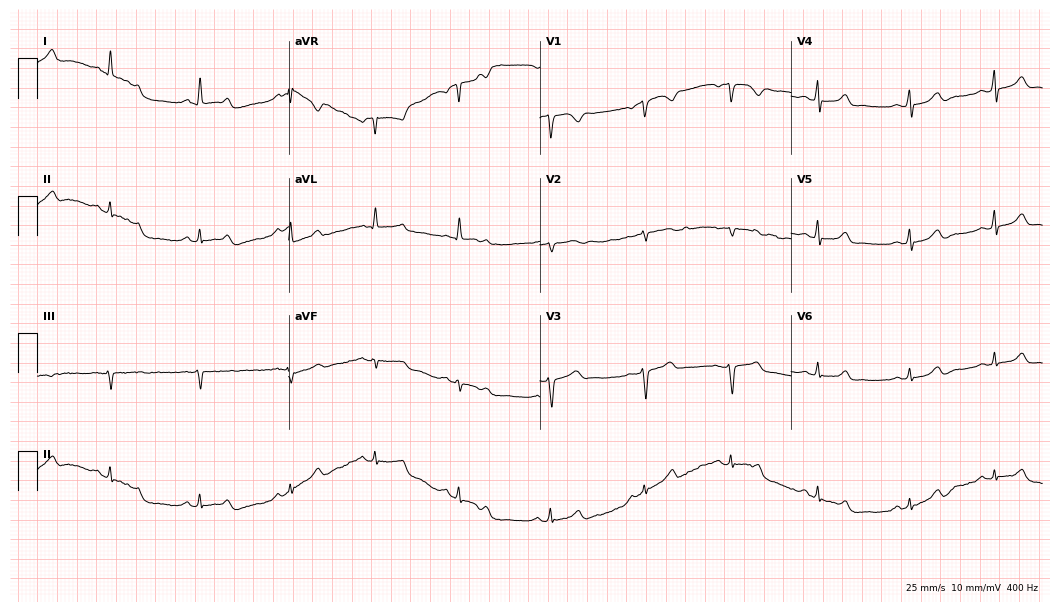
12-lead ECG from a female, 34 years old (10.2-second recording at 400 Hz). Recorded interpretation: within normal limits.